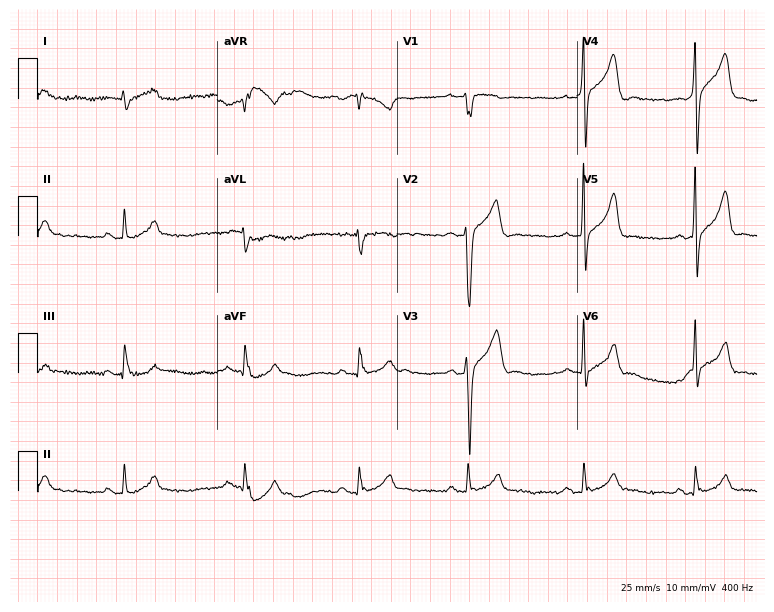
Resting 12-lead electrocardiogram. Patient: a 26-year-old male. None of these six findings is recorded: first-degree AV block, right bundle branch block, left bundle branch block, sinus bradycardia, atrial fibrillation, sinus tachycardia. Findings outside these six are not listed.